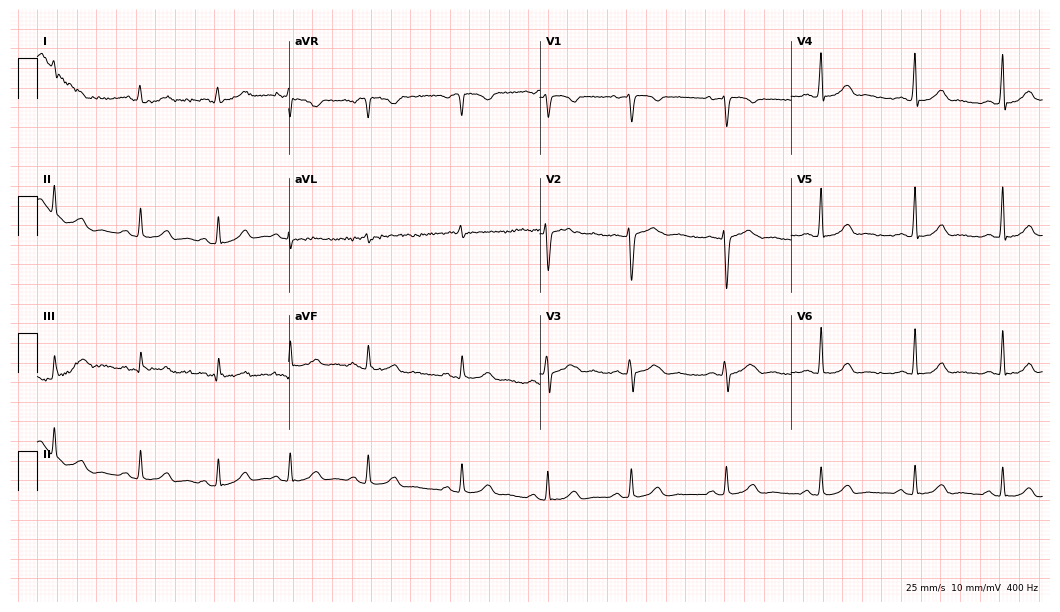
Electrocardiogram (10.2-second recording at 400 Hz), a 24-year-old female patient. Overall reading on record: normal ECG.